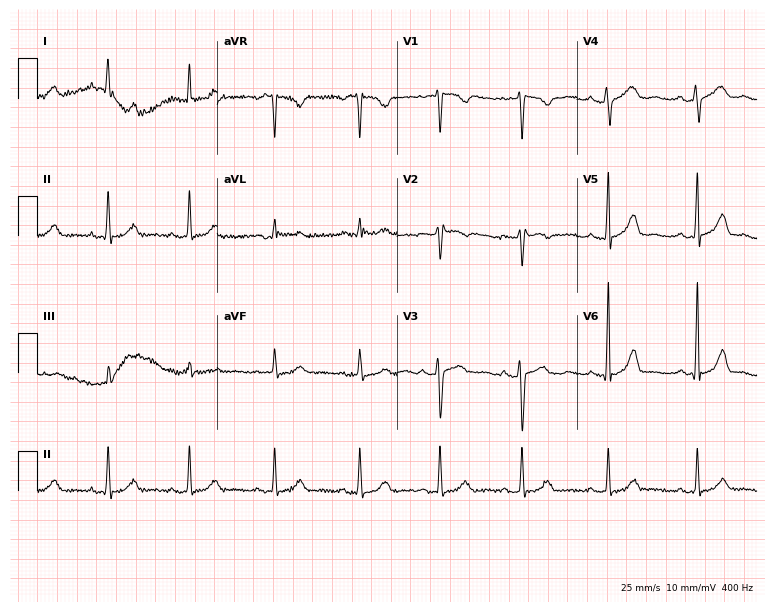
ECG (7.3-second recording at 400 Hz) — a female patient, 36 years old. Screened for six findings — first-degree AV block, right bundle branch block, left bundle branch block, sinus bradycardia, atrial fibrillation, sinus tachycardia — none is recorded. Other findings, if any, are not listed.